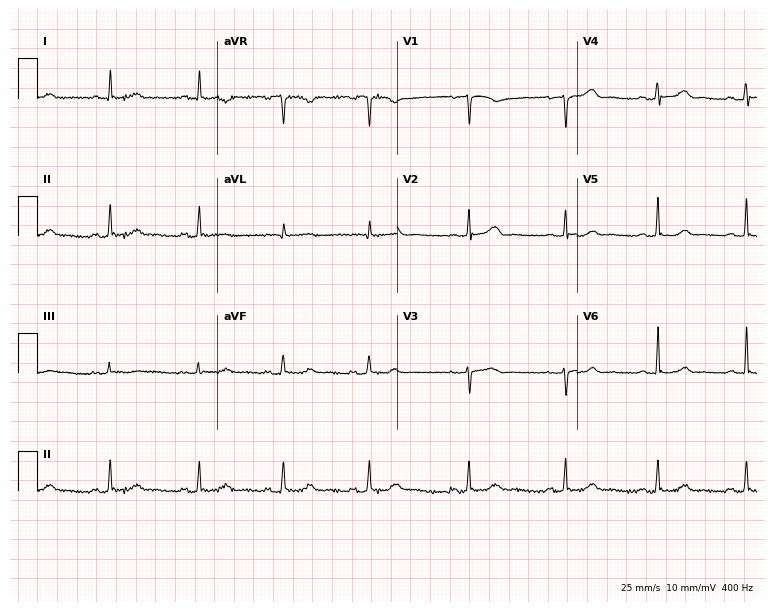
ECG (7.3-second recording at 400 Hz) — a 57-year-old woman. Screened for six findings — first-degree AV block, right bundle branch block (RBBB), left bundle branch block (LBBB), sinus bradycardia, atrial fibrillation (AF), sinus tachycardia — none is recorded.